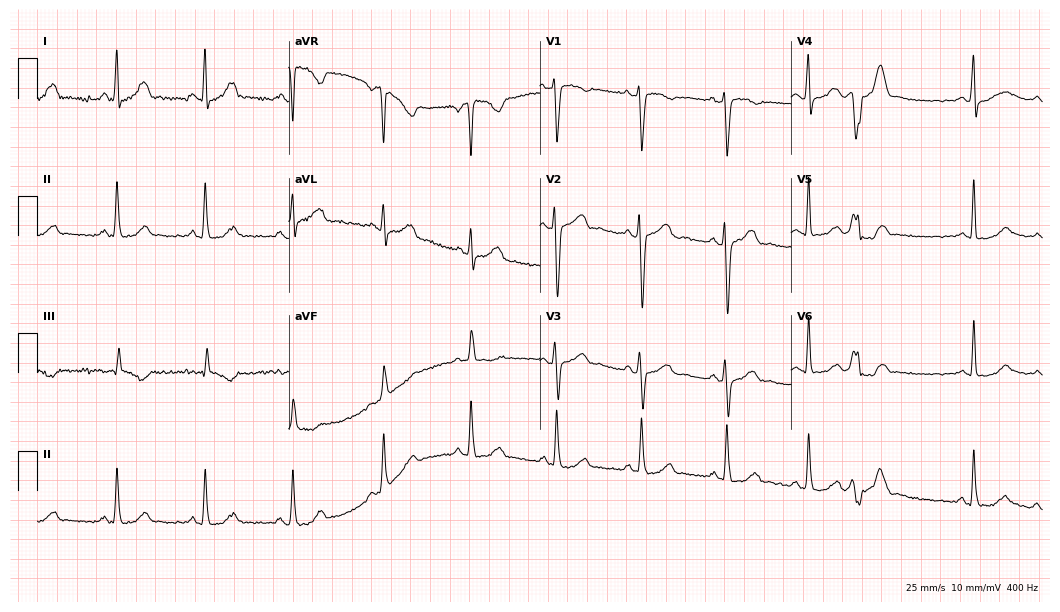
Standard 12-lead ECG recorded from a 26-year-old woman. Read as a normal ECG.